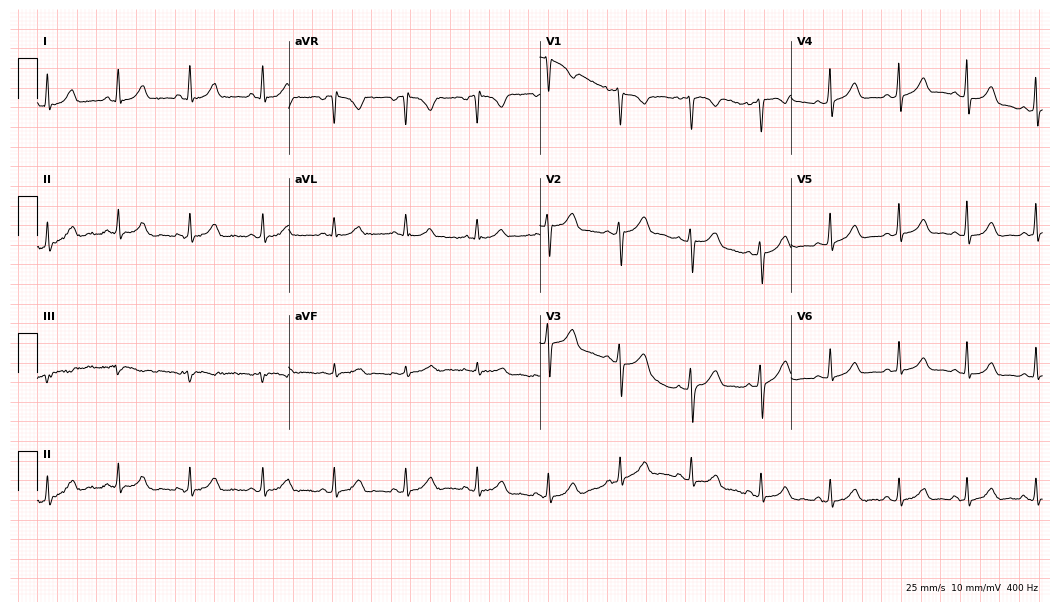
Standard 12-lead ECG recorded from a woman, 25 years old. Read as a normal ECG.